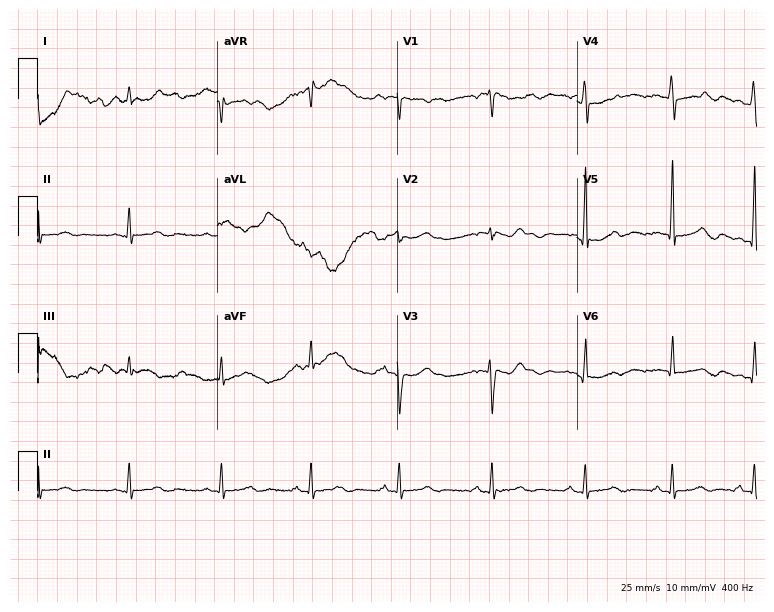
Resting 12-lead electrocardiogram (7.3-second recording at 400 Hz). Patient: a 32-year-old female. None of these six findings is recorded: first-degree AV block, right bundle branch block, left bundle branch block, sinus bradycardia, atrial fibrillation, sinus tachycardia. Findings outside these six are not listed.